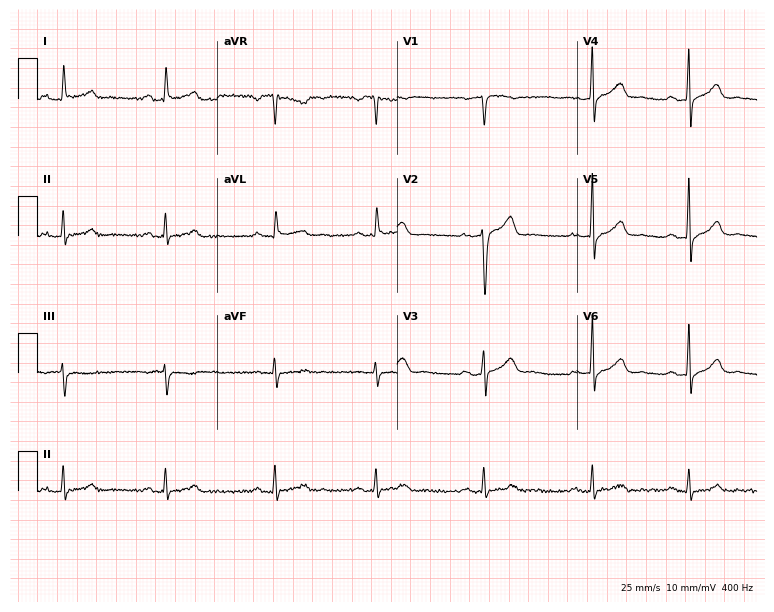
12-lead ECG from a male patient, 38 years old (7.3-second recording at 400 Hz). Recorded interpretation: within normal limits.